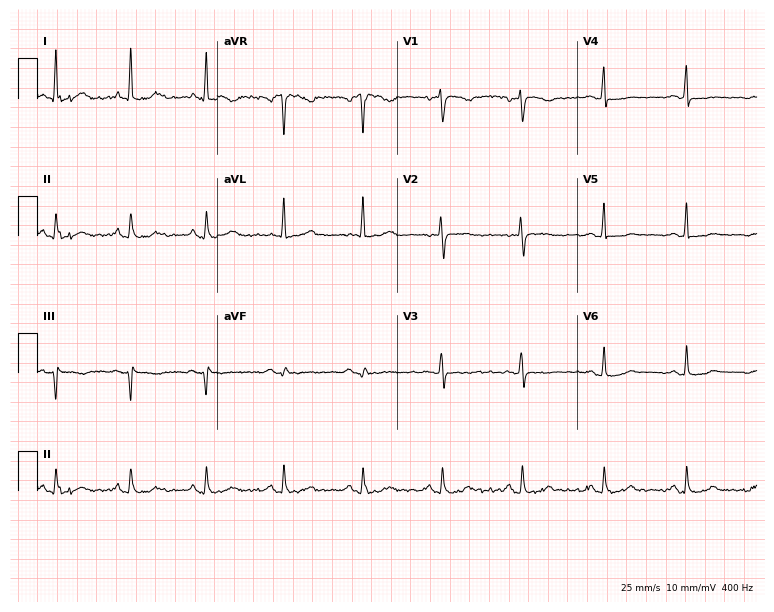
12-lead ECG (7.3-second recording at 400 Hz) from a 47-year-old female patient. Screened for six findings — first-degree AV block, right bundle branch block (RBBB), left bundle branch block (LBBB), sinus bradycardia, atrial fibrillation (AF), sinus tachycardia — none is recorded. Findings outside these six are not listed.